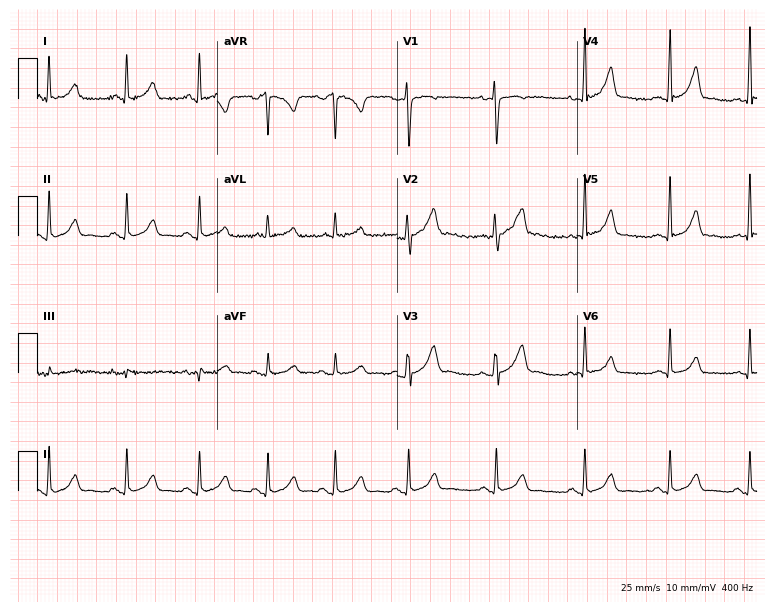
12-lead ECG from a 32-year-old female (7.3-second recording at 400 Hz). Recorded interpretation: within normal limits.